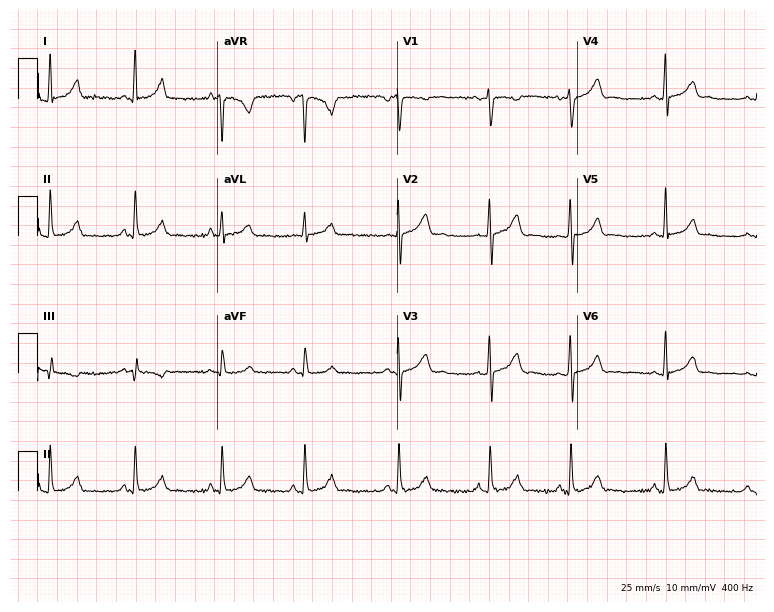
12-lead ECG from a 28-year-old woman. Screened for six findings — first-degree AV block, right bundle branch block (RBBB), left bundle branch block (LBBB), sinus bradycardia, atrial fibrillation (AF), sinus tachycardia — none is recorded. Only these six findings were labelled.